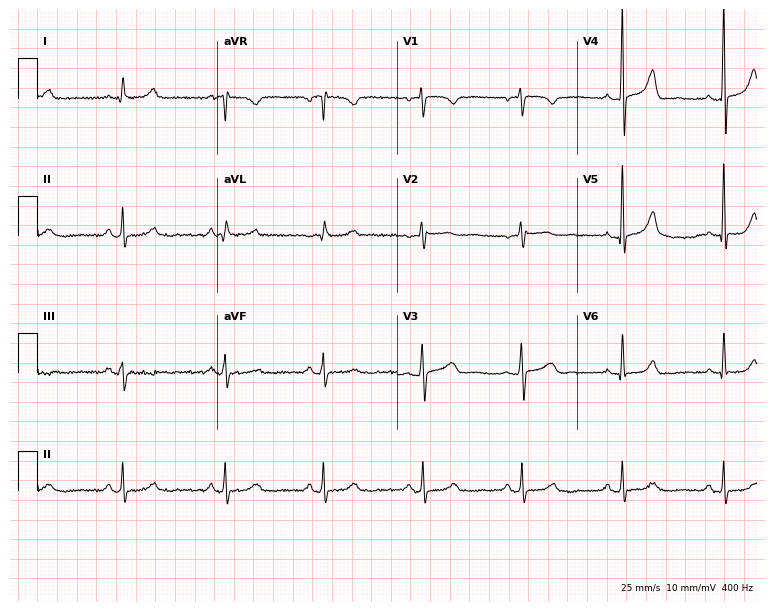
12-lead ECG from a woman, 60 years old. Recorded interpretation: within normal limits.